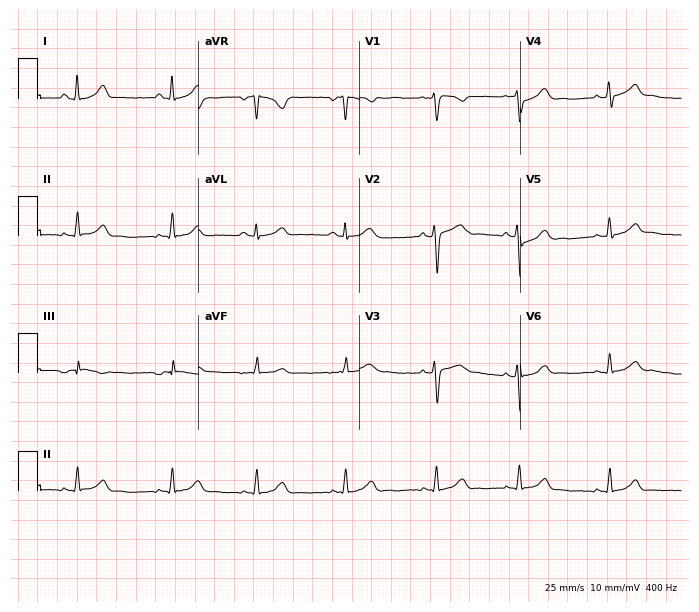
Resting 12-lead electrocardiogram (6.6-second recording at 400 Hz). Patient: a 23-year-old female. None of these six findings is recorded: first-degree AV block, right bundle branch block, left bundle branch block, sinus bradycardia, atrial fibrillation, sinus tachycardia.